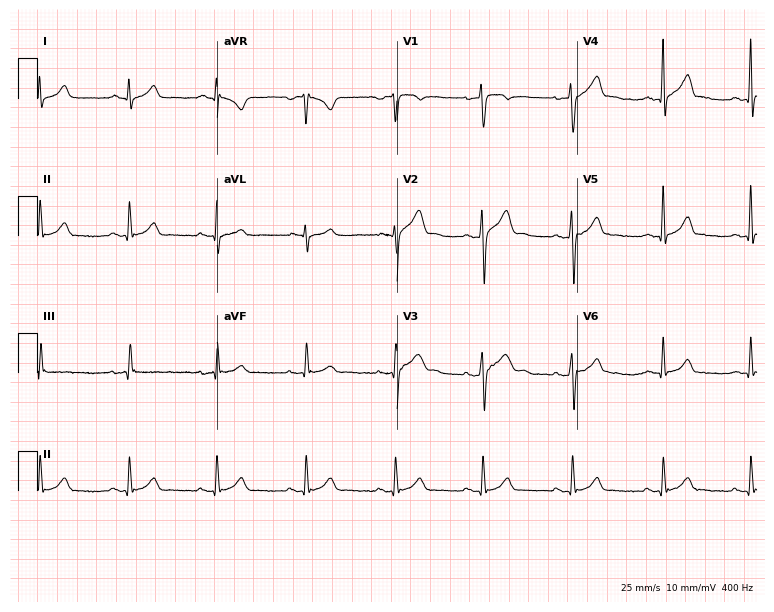
12-lead ECG from a man, 26 years old. Recorded interpretation: within normal limits.